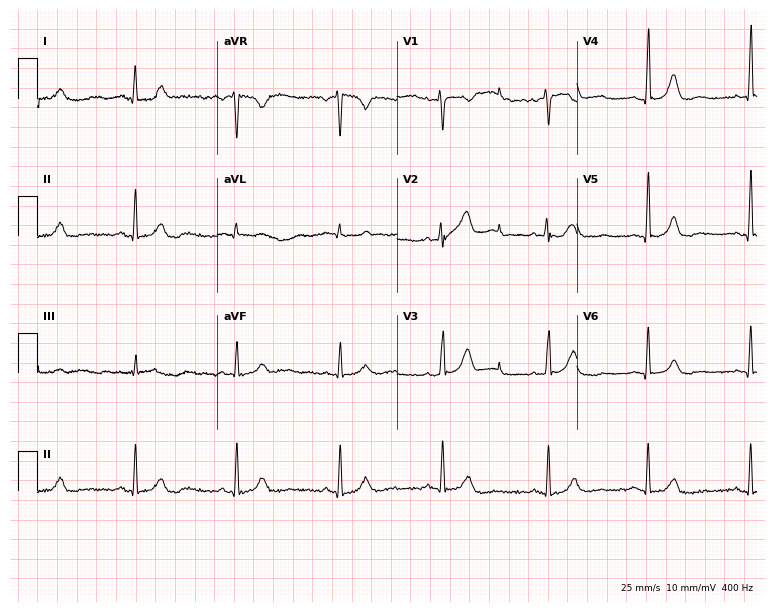
Electrocardiogram (7.3-second recording at 400 Hz), a 42-year-old female. Overall reading on record: normal ECG.